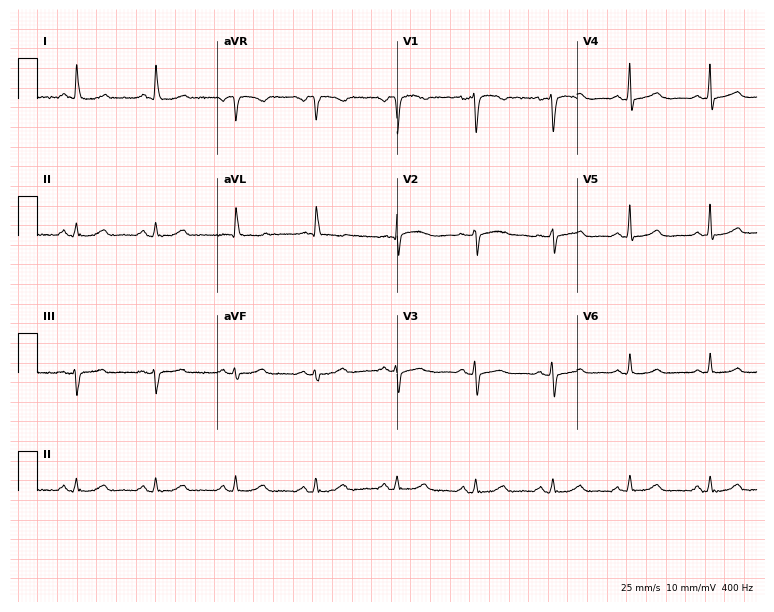
Standard 12-lead ECG recorded from a 64-year-old woman (7.3-second recording at 400 Hz). Read as a normal ECG.